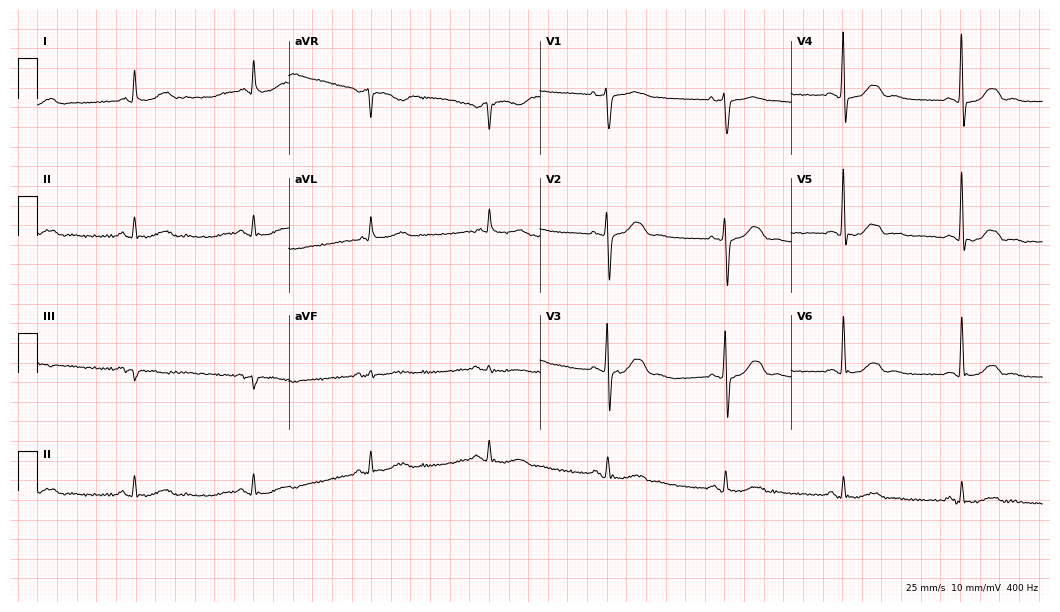
Standard 12-lead ECG recorded from a 69-year-old male. The tracing shows sinus bradycardia (a sinus rate of 50 beats per minute or less).